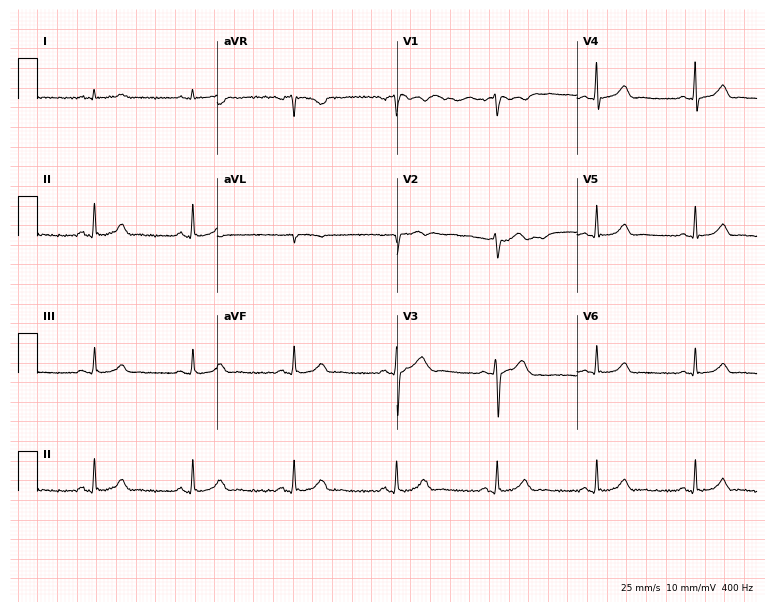
12-lead ECG from a 40-year-old female patient (7.3-second recording at 400 Hz). No first-degree AV block, right bundle branch block, left bundle branch block, sinus bradycardia, atrial fibrillation or sinus tachycardia recorded for this tracing.